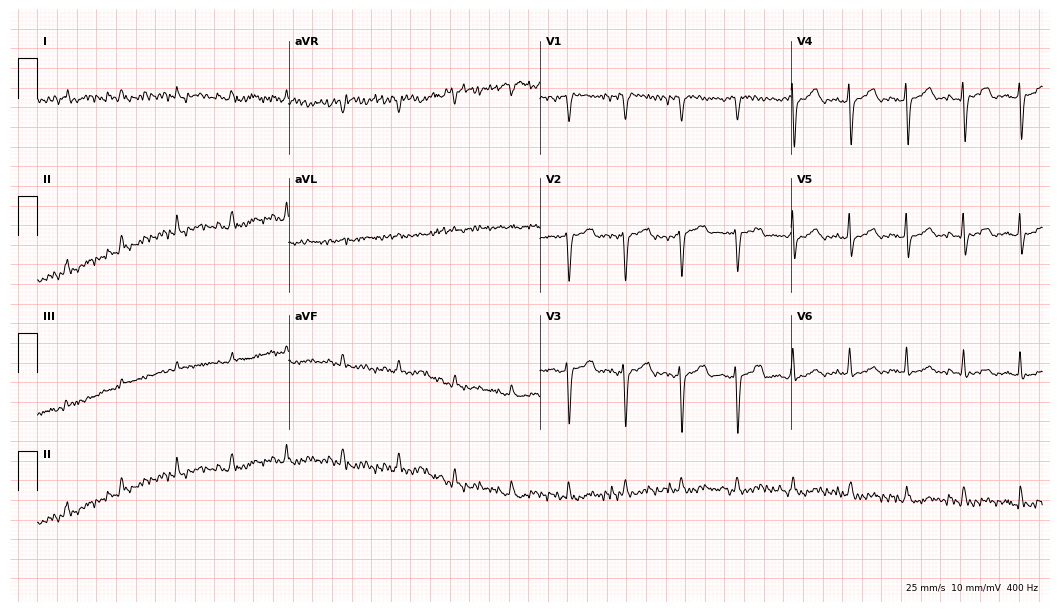
Resting 12-lead electrocardiogram. Patient: a female, 80 years old. None of these six findings is recorded: first-degree AV block, right bundle branch block, left bundle branch block, sinus bradycardia, atrial fibrillation, sinus tachycardia.